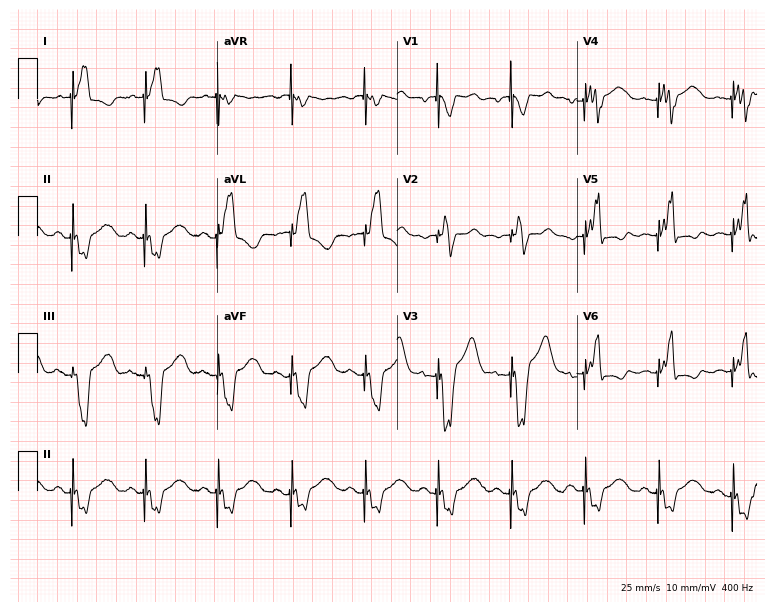
Standard 12-lead ECG recorded from a female patient, 73 years old. None of these six findings is recorded: first-degree AV block, right bundle branch block, left bundle branch block, sinus bradycardia, atrial fibrillation, sinus tachycardia. Findings outside these six are not listed.